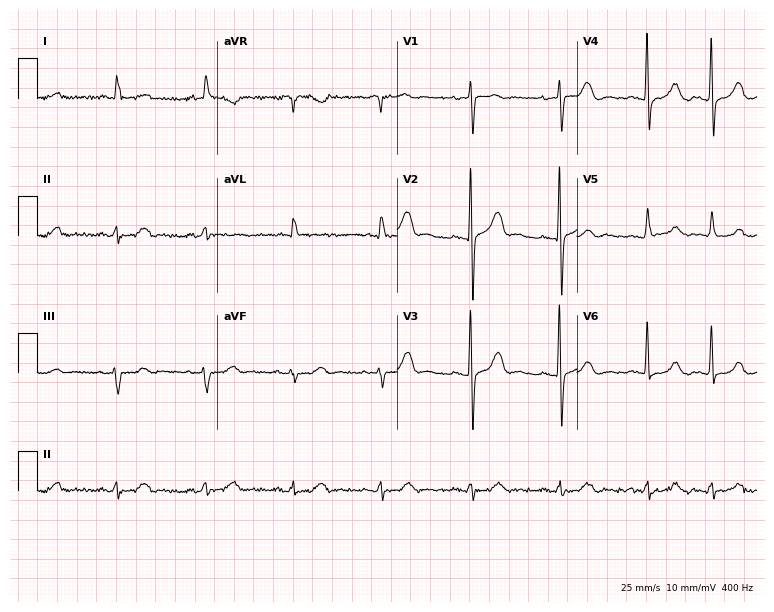
12-lead ECG (7.3-second recording at 400 Hz) from a female patient, 83 years old. Screened for six findings — first-degree AV block, right bundle branch block, left bundle branch block, sinus bradycardia, atrial fibrillation, sinus tachycardia — none is recorded.